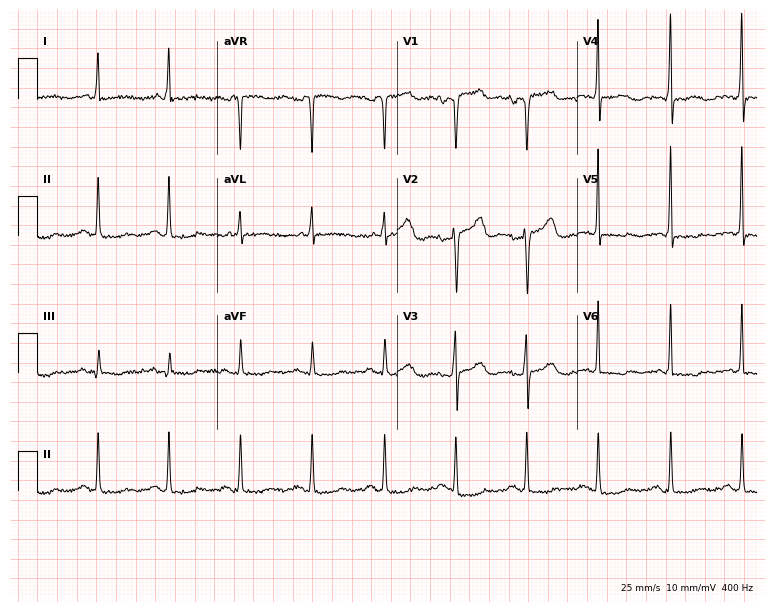
12-lead ECG from a 72-year-old female. Screened for six findings — first-degree AV block, right bundle branch block (RBBB), left bundle branch block (LBBB), sinus bradycardia, atrial fibrillation (AF), sinus tachycardia — none is recorded.